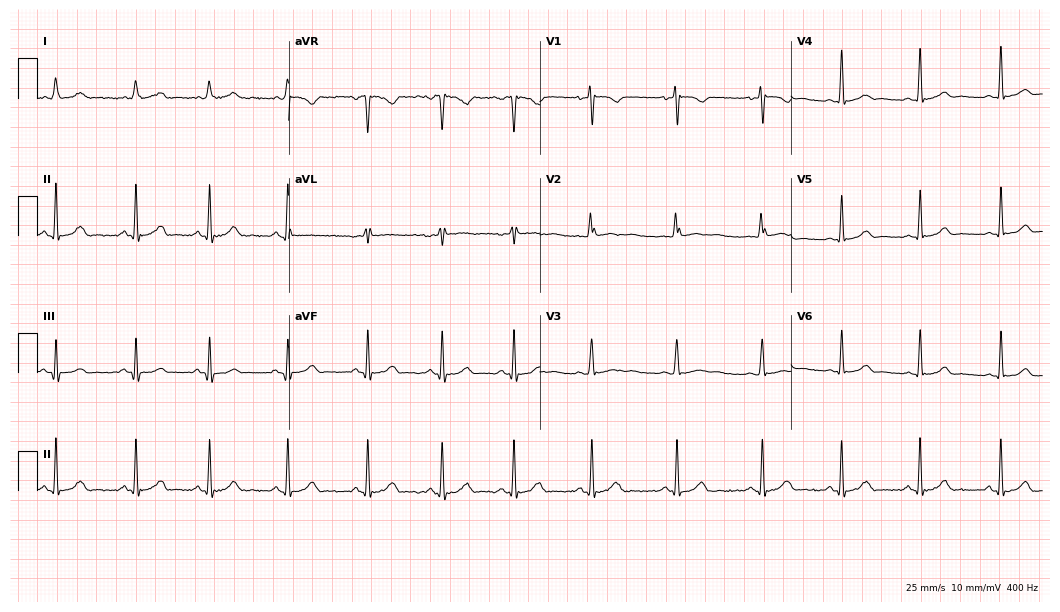
ECG — a 23-year-old female patient. Labelled as a normal ECG.